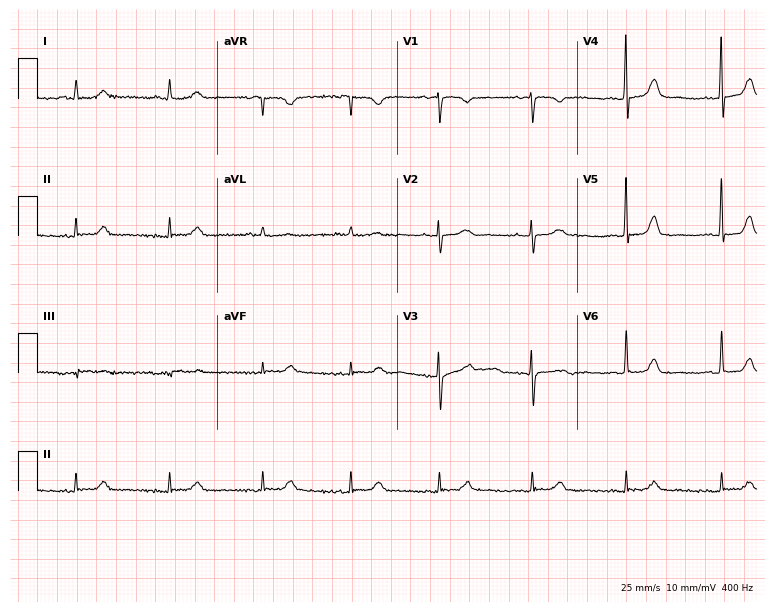
12-lead ECG from a 66-year-old female. Recorded interpretation: within normal limits.